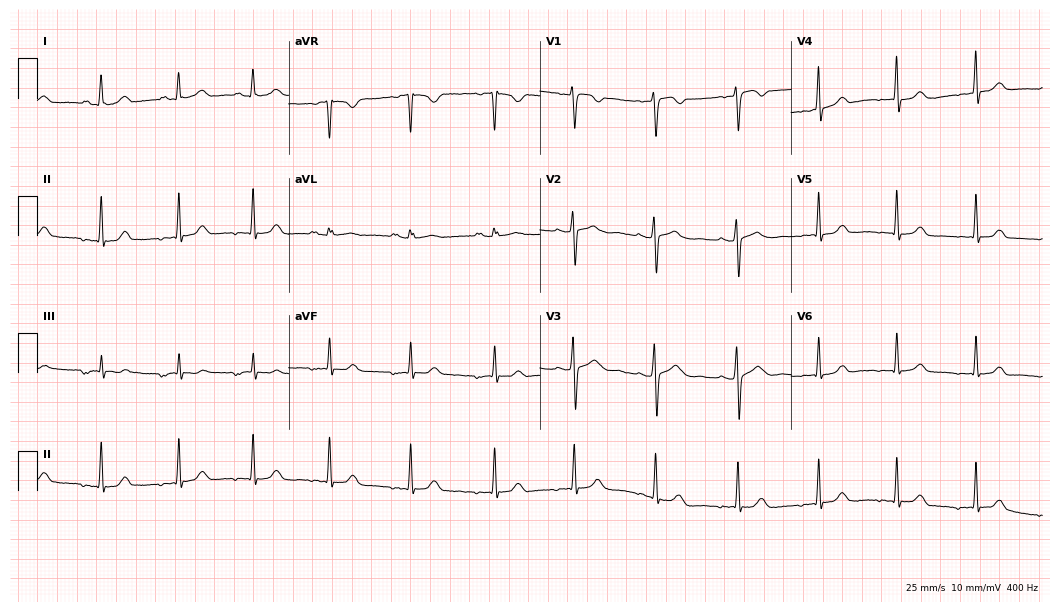
ECG — a 22-year-old female. Screened for six findings — first-degree AV block, right bundle branch block, left bundle branch block, sinus bradycardia, atrial fibrillation, sinus tachycardia — none is recorded.